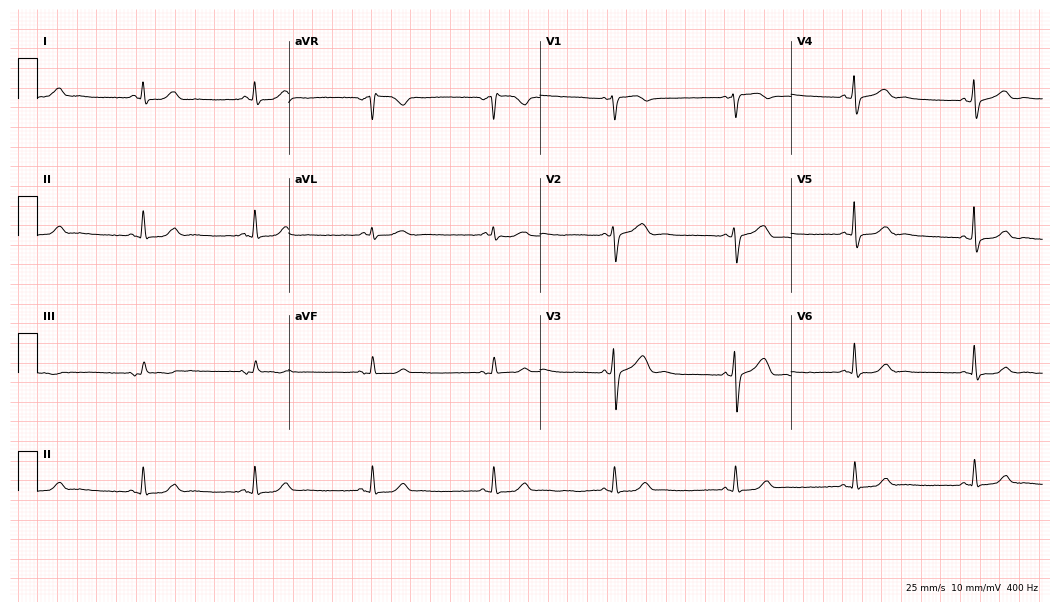
12-lead ECG from a woman, 70 years old. No first-degree AV block, right bundle branch block (RBBB), left bundle branch block (LBBB), sinus bradycardia, atrial fibrillation (AF) or sinus tachycardia recorded for this tracing.